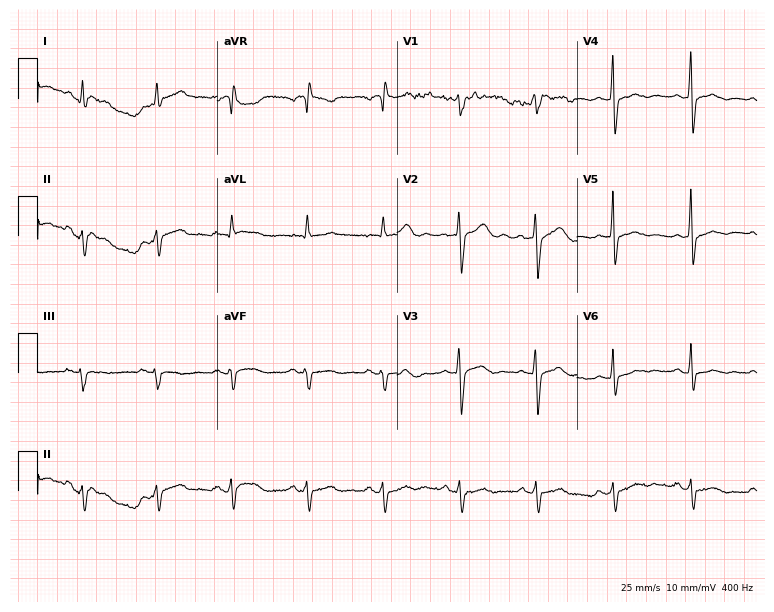
ECG — a 43-year-old man. Screened for six findings — first-degree AV block, right bundle branch block (RBBB), left bundle branch block (LBBB), sinus bradycardia, atrial fibrillation (AF), sinus tachycardia — none is recorded.